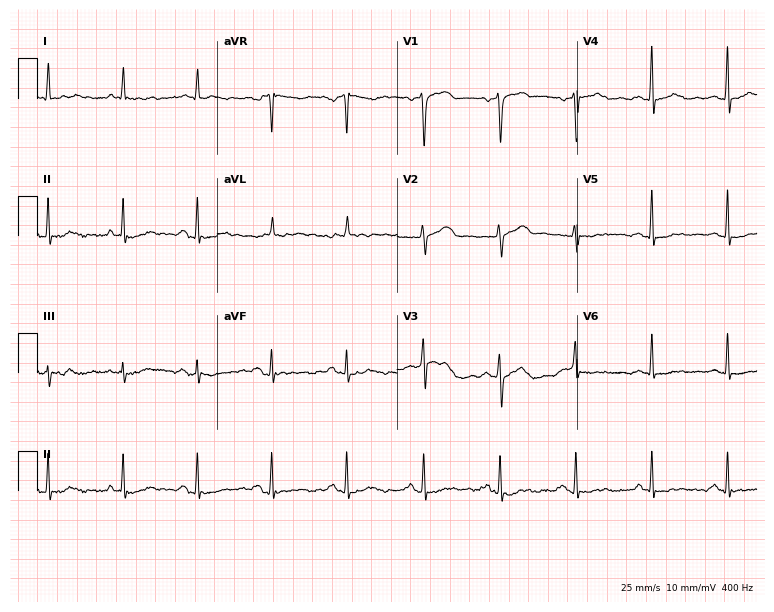
Resting 12-lead electrocardiogram. Patient: a female, 64 years old. None of these six findings is recorded: first-degree AV block, right bundle branch block, left bundle branch block, sinus bradycardia, atrial fibrillation, sinus tachycardia. Findings outside these six are not listed.